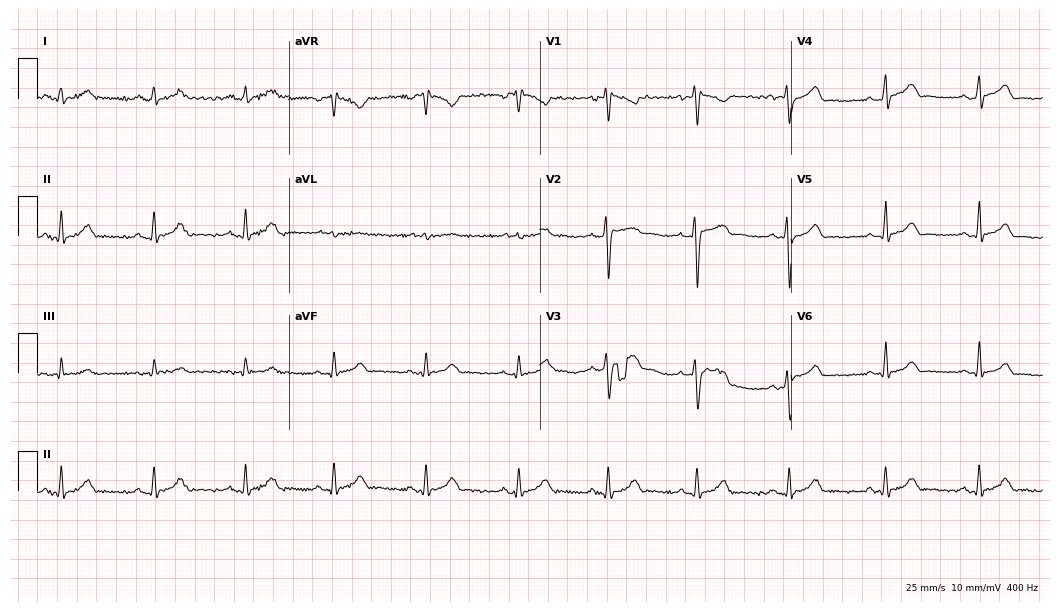
Resting 12-lead electrocardiogram. Patient: a 30-year-old man. Read as a normal ECG.